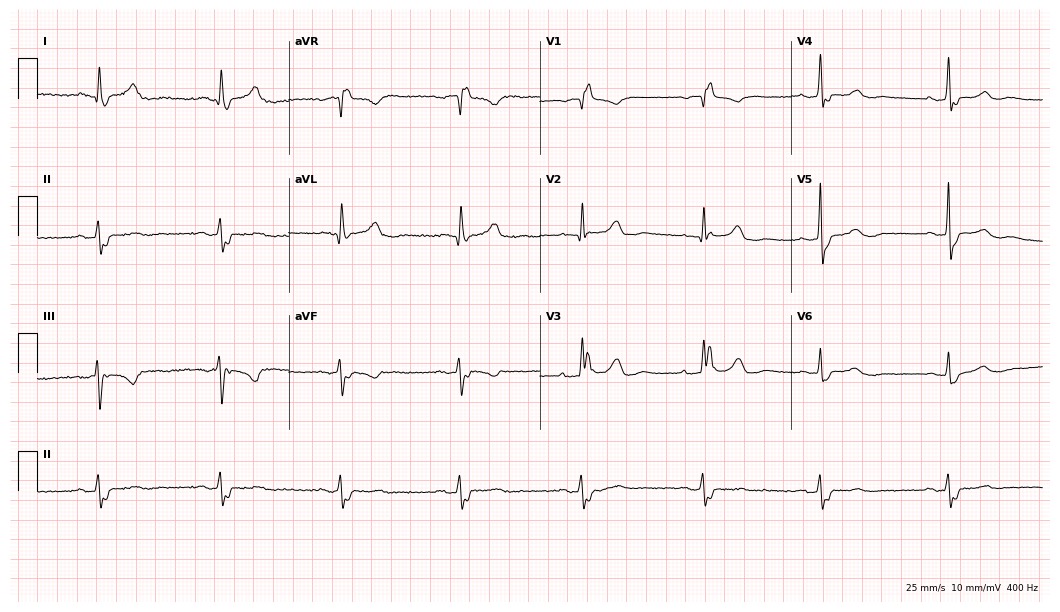
12-lead ECG (10.2-second recording at 400 Hz) from a female, 81 years old. Screened for six findings — first-degree AV block, right bundle branch block, left bundle branch block, sinus bradycardia, atrial fibrillation, sinus tachycardia — none is recorded. Other findings, if any, are not listed.